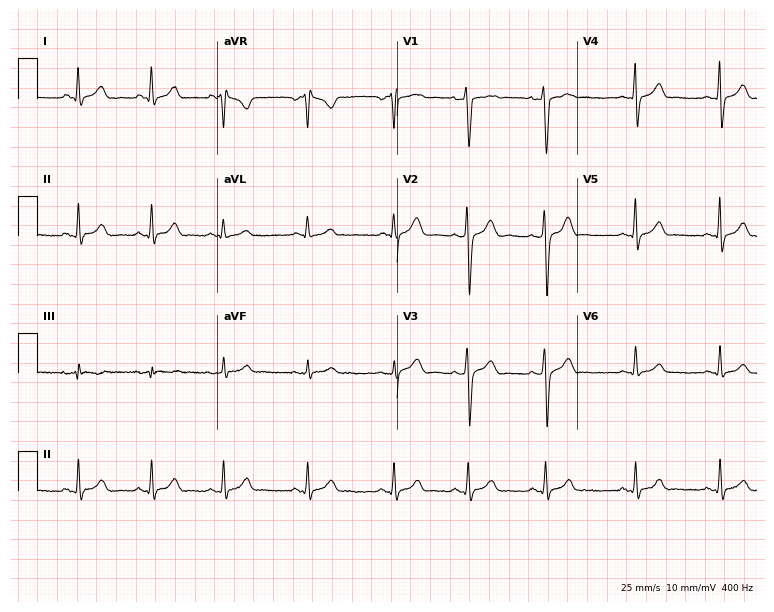
12-lead ECG from a 20-year-old male. Labelled as a normal ECG.